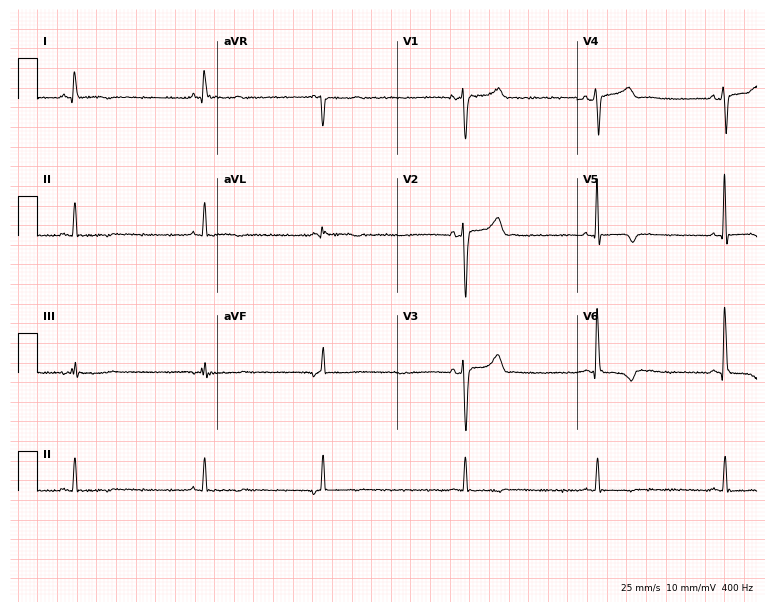
12-lead ECG from a male patient, 53 years old (7.3-second recording at 400 Hz). No first-degree AV block, right bundle branch block, left bundle branch block, sinus bradycardia, atrial fibrillation or sinus tachycardia recorded for this tracing. Other findings, if any, are not listed.